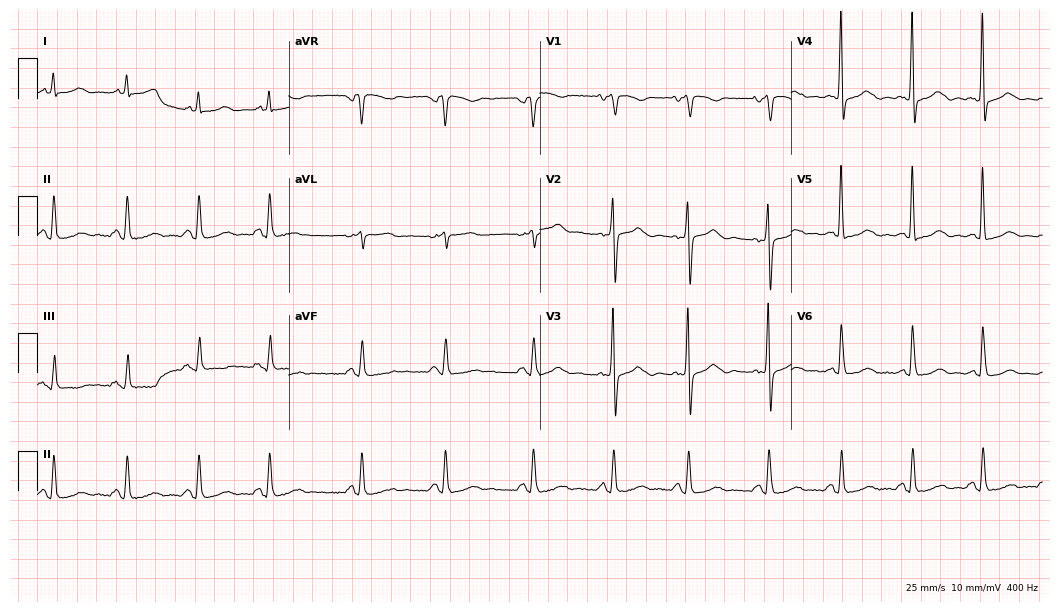
12-lead ECG (10.2-second recording at 400 Hz) from a 74-year-old female patient. Screened for six findings — first-degree AV block, right bundle branch block, left bundle branch block, sinus bradycardia, atrial fibrillation, sinus tachycardia — none is recorded.